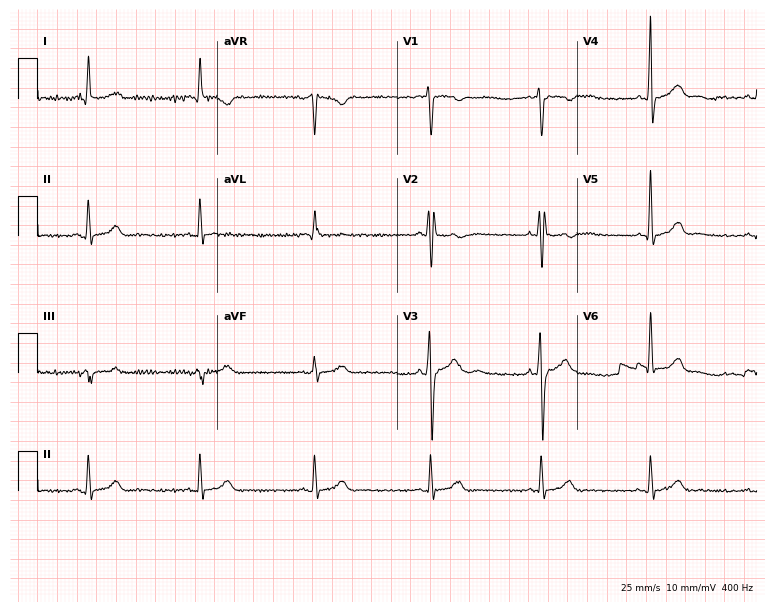
Standard 12-lead ECG recorded from a male patient, 23 years old. None of these six findings is recorded: first-degree AV block, right bundle branch block, left bundle branch block, sinus bradycardia, atrial fibrillation, sinus tachycardia. Only these six findings were labelled.